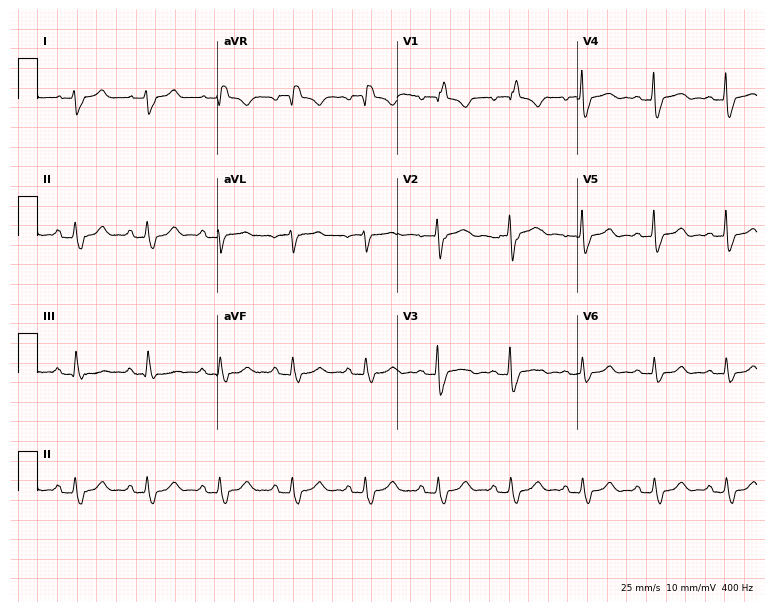
12-lead ECG from a woman, 58 years old (7.3-second recording at 400 Hz). Shows right bundle branch block (RBBB).